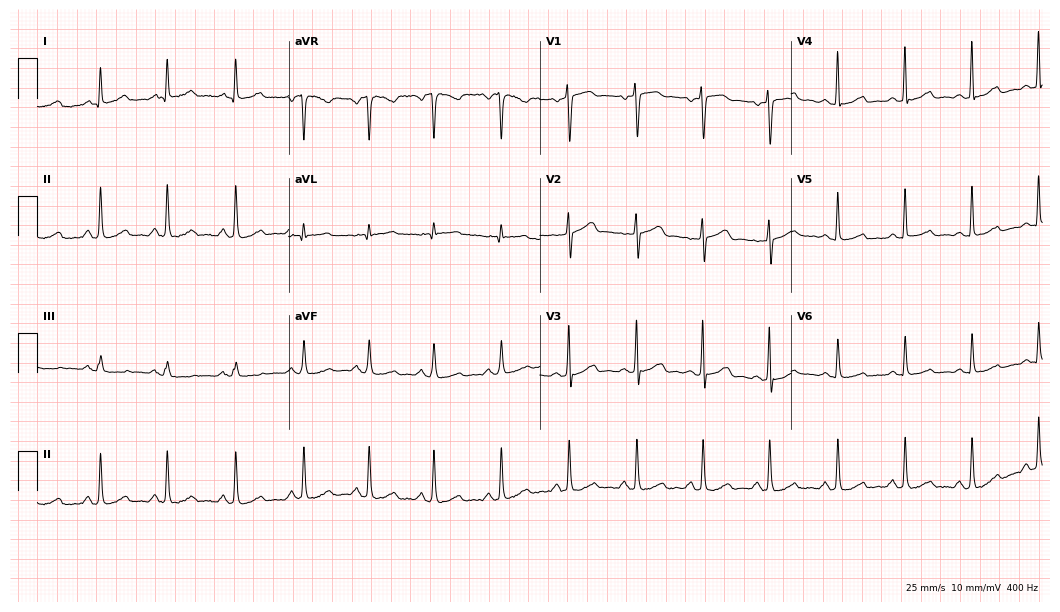
Electrocardiogram (10.2-second recording at 400 Hz), a woman, 42 years old. Of the six screened findings (first-degree AV block, right bundle branch block (RBBB), left bundle branch block (LBBB), sinus bradycardia, atrial fibrillation (AF), sinus tachycardia), none is recorded. Findings outside these six are not listed.